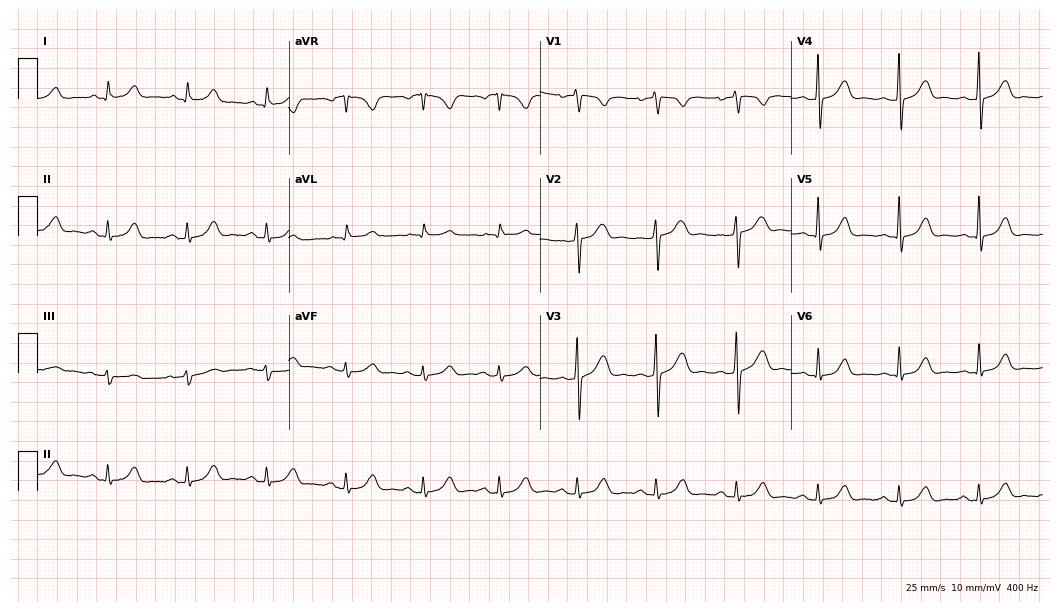
Resting 12-lead electrocardiogram (10.2-second recording at 400 Hz). Patient: a 57-year-old woman. Read as a normal ECG.